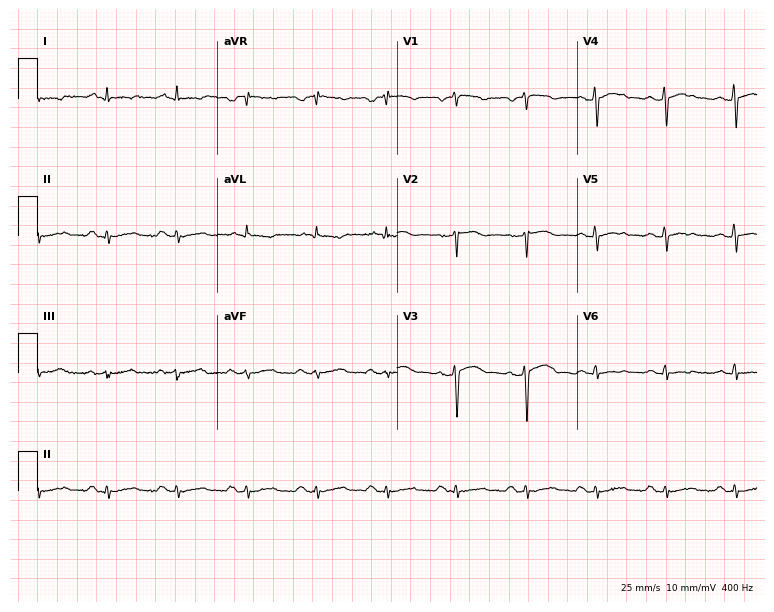
Electrocardiogram (7.3-second recording at 400 Hz), a 47-year-old male patient. Of the six screened findings (first-degree AV block, right bundle branch block (RBBB), left bundle branch block (LBBB), sinus bradycardia, atrial fibrillation (AF), sinus tachycardia), none is recorded. Findings outside these six are not listed.